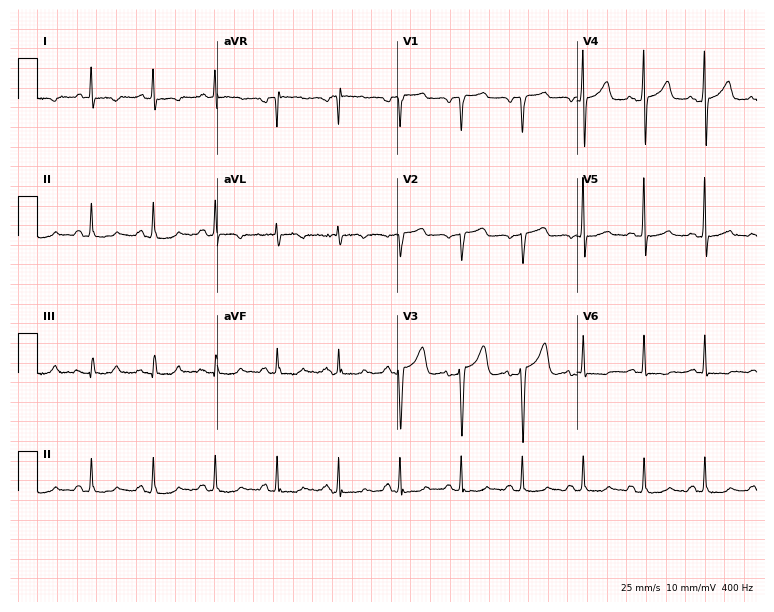
Standard 12-lead ECG recorded from a 57-year-old man. None of these six findings is recorded: first-degree AV block, right bundle branch block, left bundle branch block, sinus bradycardia, atrial fibrillation, sinus tachycardia. Findings outside these six are not listed.